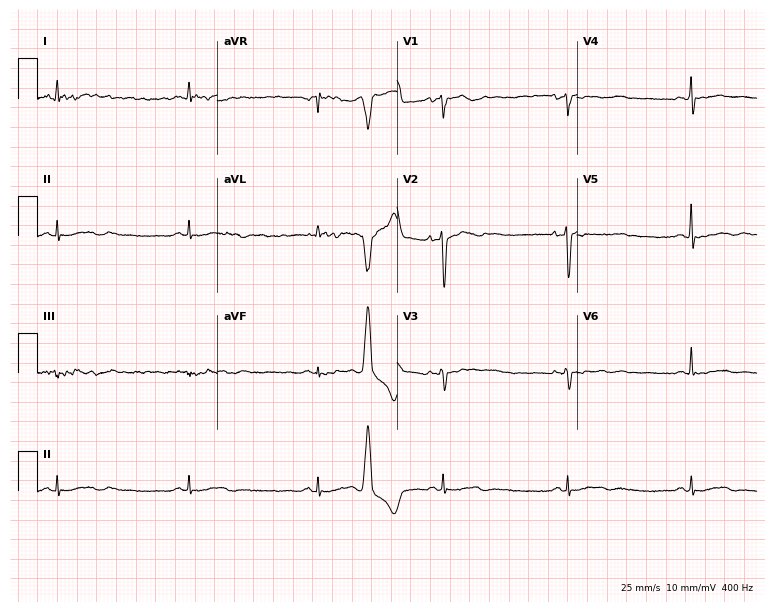
12-lead ECG from a 44-year-old male. Shows sinus bradycardia (a sinus rate of 50 beats per minute or less).